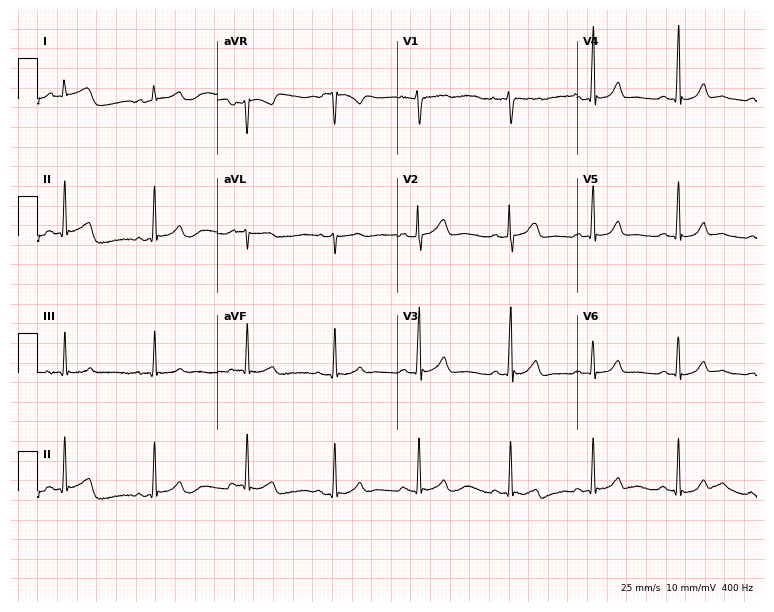
Resting 12-lead electrocardiogram. Patient: a female, 23 years old. Read as a normal ECG.